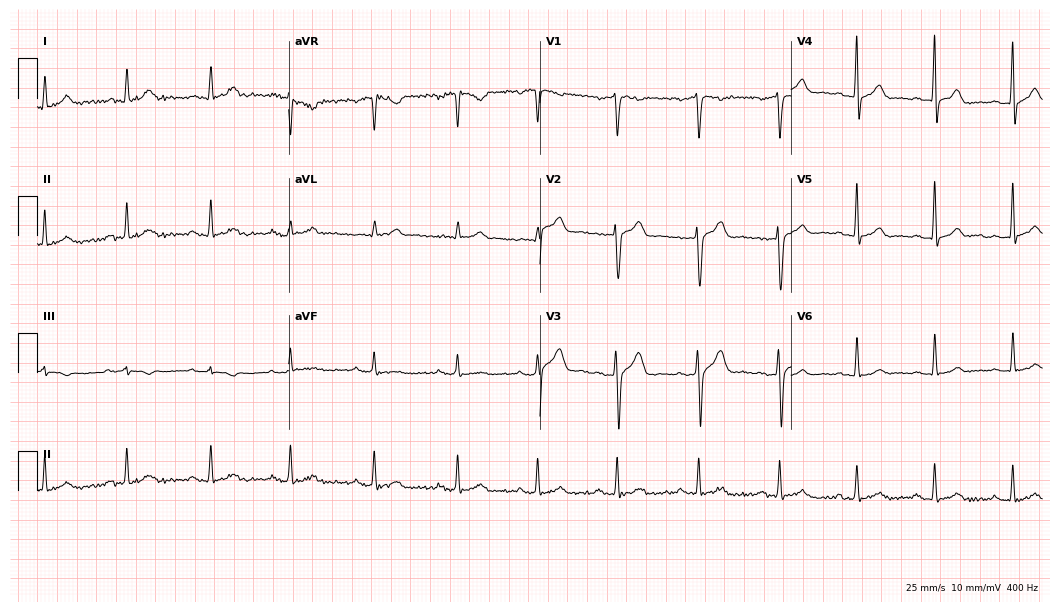
ECG — a 51-year-old man. Labelled as a normal ECG.